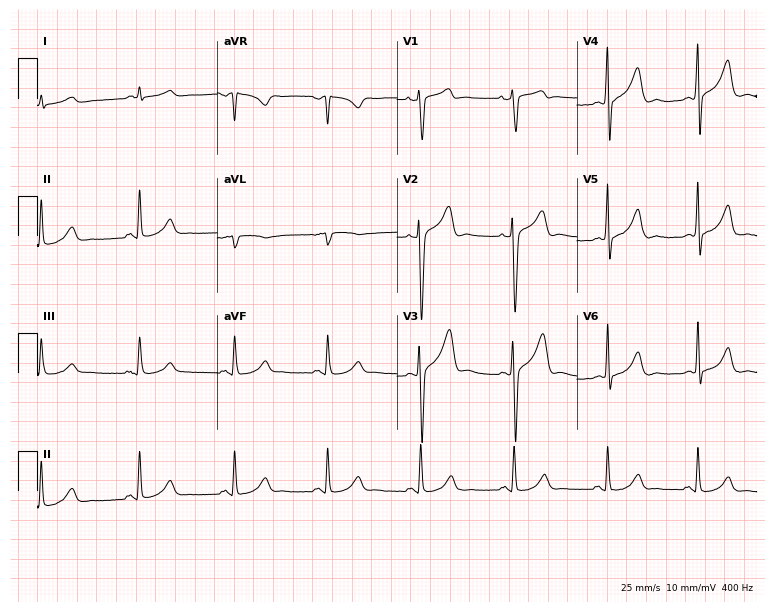
12-lead ECG from a male, 49 years old. Screened for six findings — first-degree AV block, right bundle branch block, left bundle branch block, sinus bradycardia, atrial fibrillation, sinus tachycardia — none is recorded. Other findings, if any, are not listed.